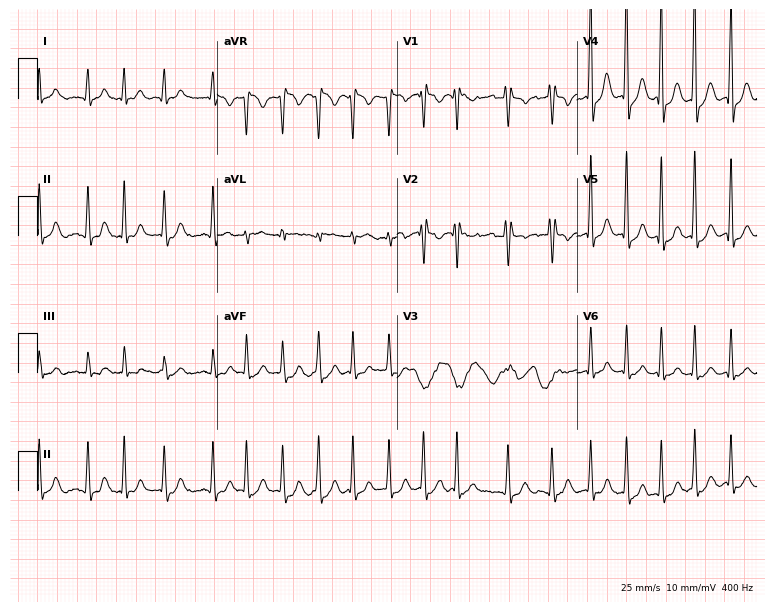
Standard 12-lead ECG recorded from a male patient, 43 years old. The tracing shows atrial fibrillation.